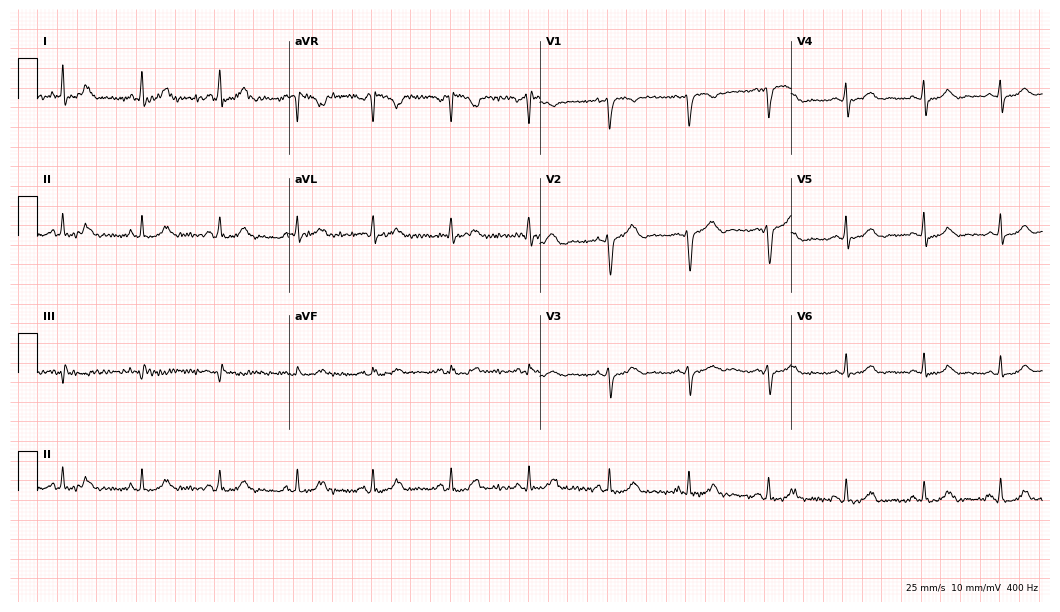
Electrocardiogram, a woman, 45 years old. Of the six screened findings (first-degree AV block, right bundle branch block (RBBB), left bundle branch block (LBBB), sinus bradycardia, atrial fibrillation (AF), sinus tachycardia), none is recorded.